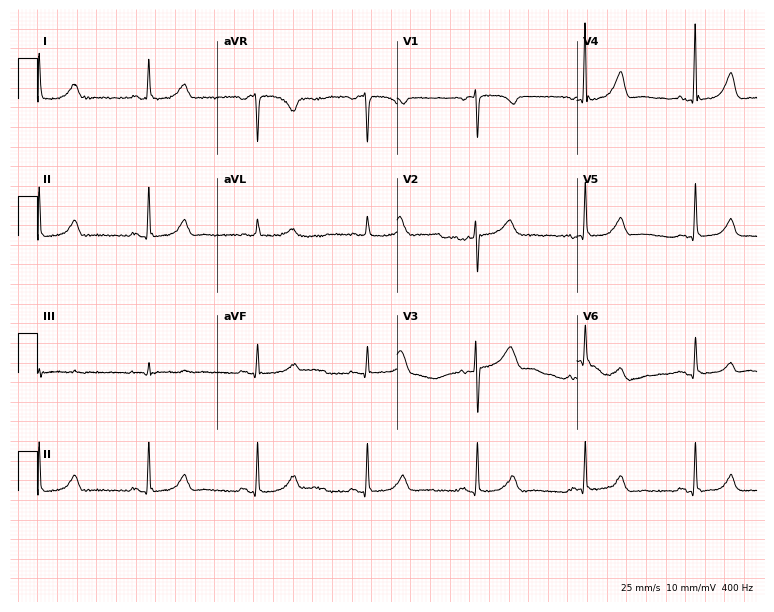
ECG — a 65-year-old female patient. Screened for six findings — first-degree AV block, right bundle branch block (RBBB), left bundle branch block (LBBB), sinus bradycardia, atrial fibrillation (AF), sinus tachycardia — none is recorded.